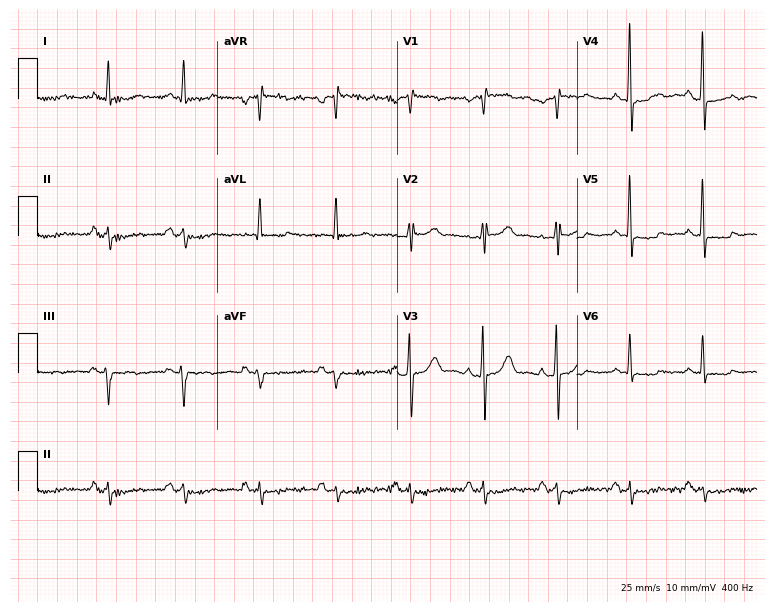
12-lead ECG from a 44-year-old male (7.3-second recording at 400 Hz). No first-degree AV block, right bundle branch block, left bundle branch block, sinus bradycardia, atrial fibrillation or sinus tachycardia recorded for this tracing.